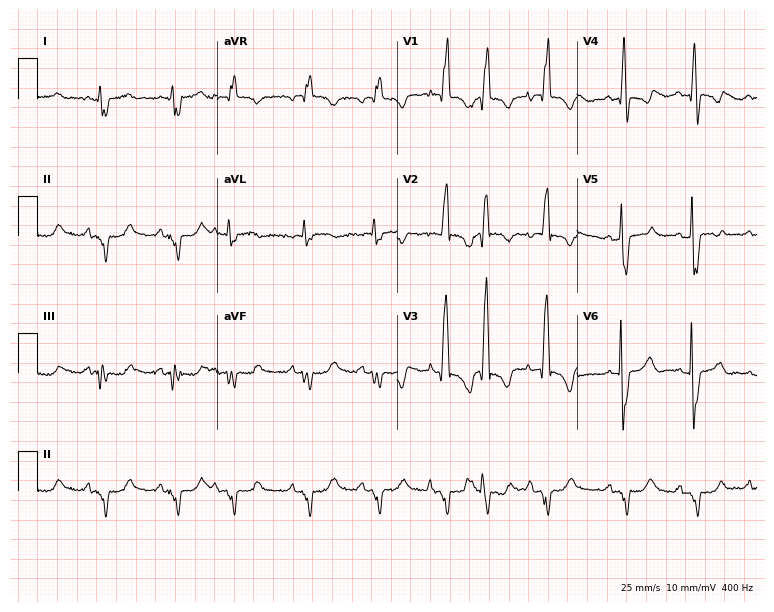
12-lead ECG from a woman, 70 years old. Shows right bundle branch block (RBBB).